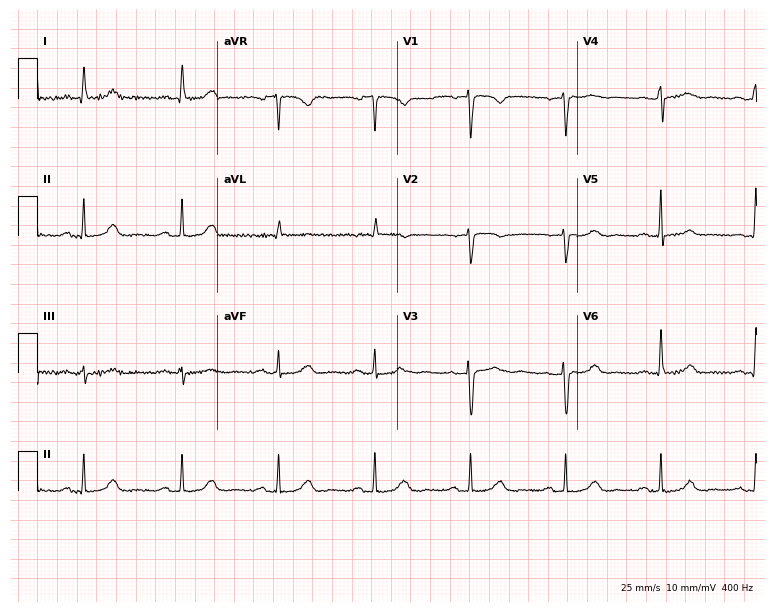
Electrocardiogram (7.3-second recording at 400 Hz), a woman, 58 years old. Overall reading on record: normal ECG.